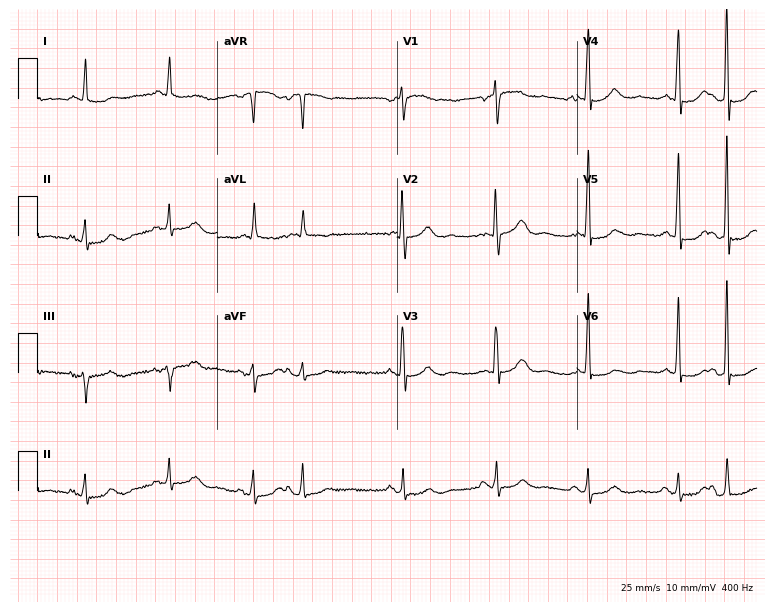
Standard 12-lead ECG recorded from a 76-year-old female patient (7.3-second recording at 400 Hz). None of these six findings is recorded: first-degree AV block, right bundle branch block (RBBB), left bundle branch block (LBBB), sinus bradycardia, atrial fibrillation (AF), sinus tachycardia. Other findings, if any, are not listed.